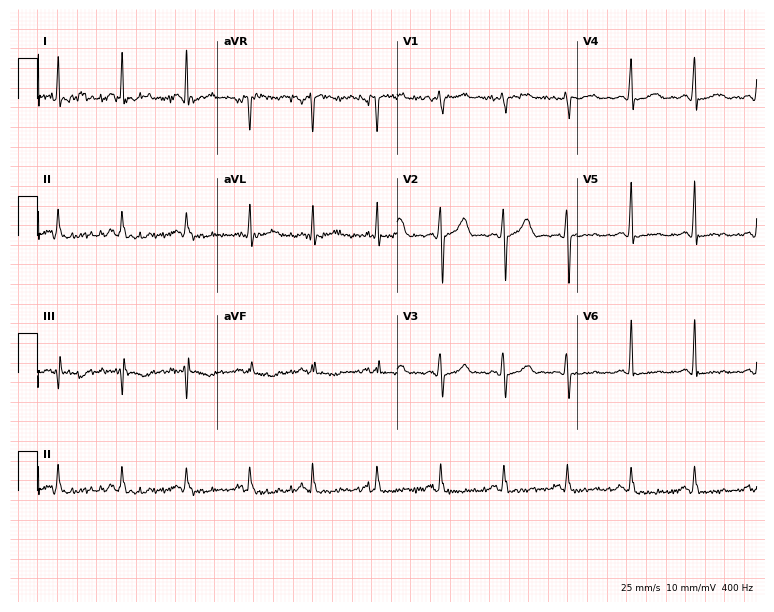
12-lead ECG from a 46-year-old female patient. Screened for six findings — first-degree AV block, right bundle branch block (RBBB), left bundle branch block (LBBB), sinus bradycardia, atrial fibrillation (AF), sinus tachycardia — none is recorded. Only these six findings were labelled.